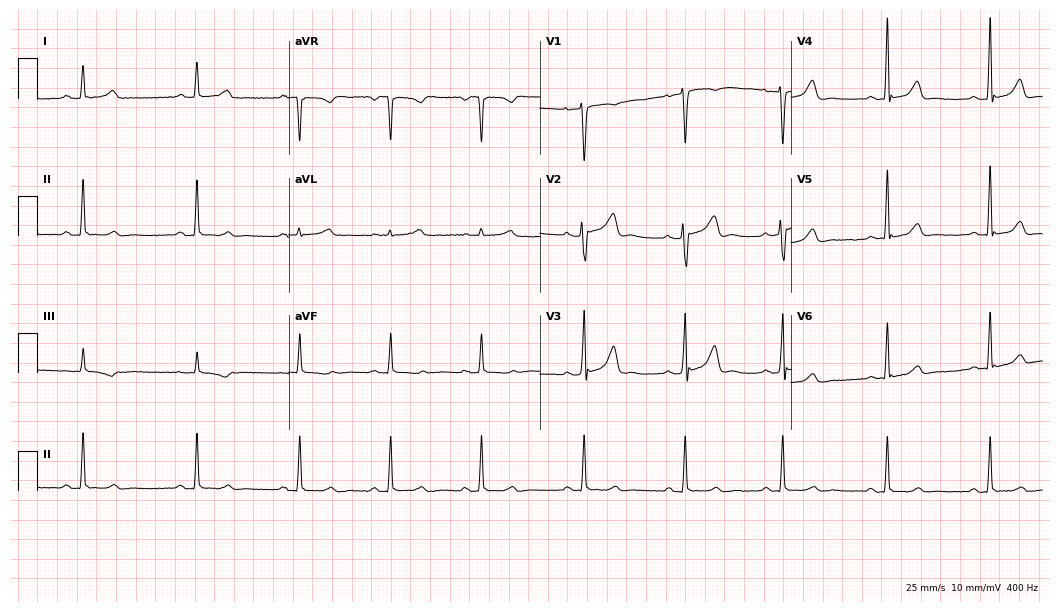
12-lead ECG from a female, 34 years old. Recorded interpretation: within normal limits.